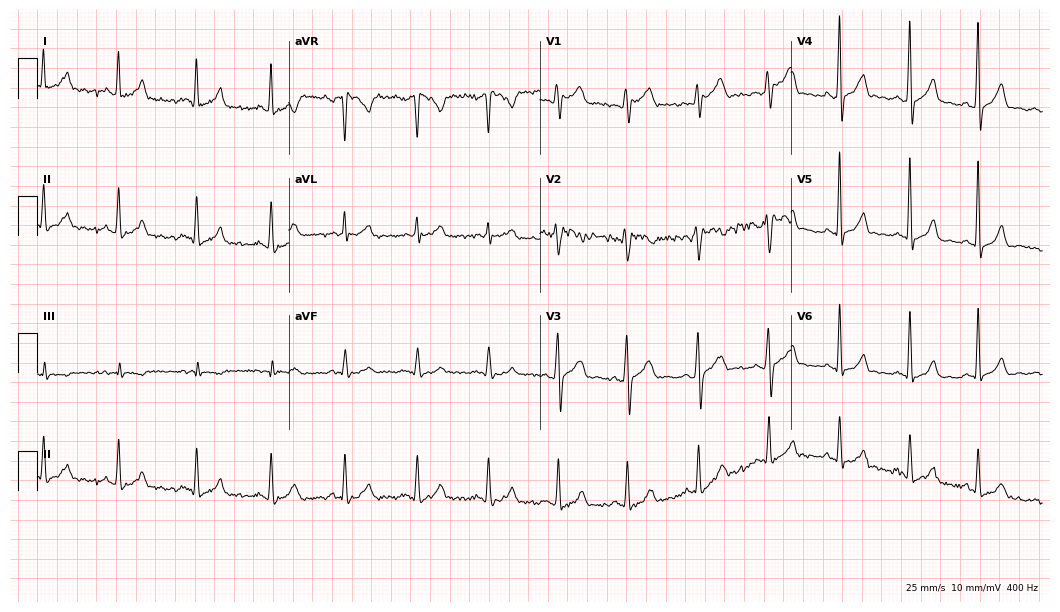
Electrocardiogram (10.2-second recording at 400 Hz), a male patient, 32 years old. Overall reading on record: normal ECG.